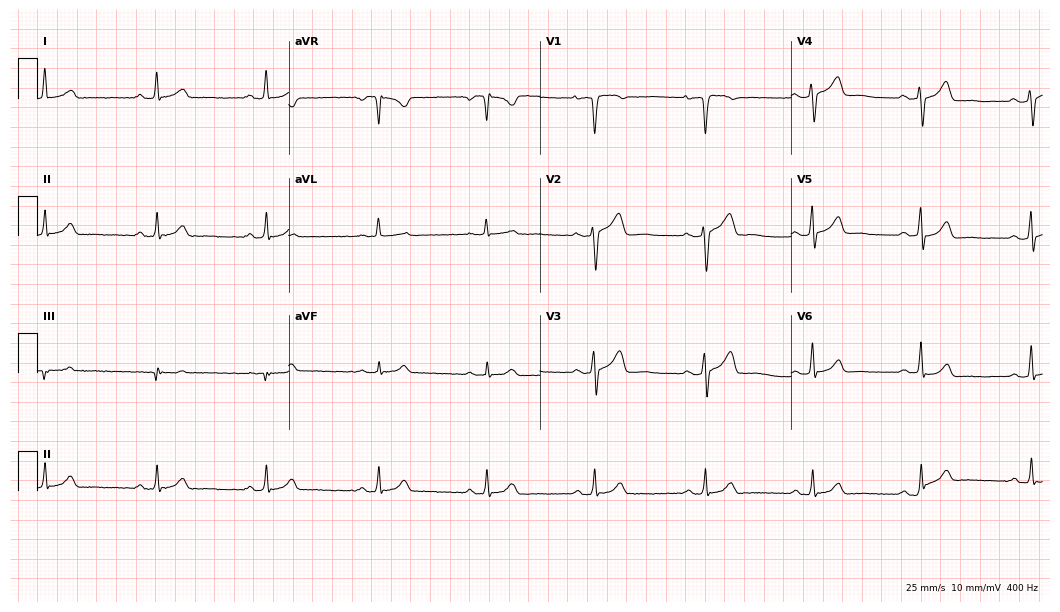
ECG — a 44-year-old woman. Screened for six findings — first-degree AV block, right bundle branch block (RBBB), left bundle branch block (LBBB), sinus bradycardia, atrial fibrillation (AF), sinus tachycardia — none is recorded. Other findings, if any, are not listed.